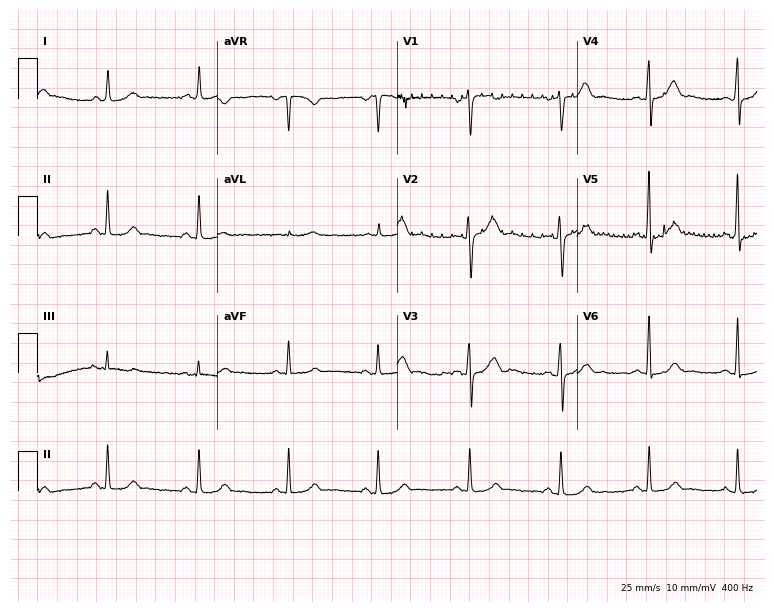
Standard 12-lead ECG recorded from a 42-year-old female patient (7.3-second recording at 400 Hz). Read as a normal ECG.